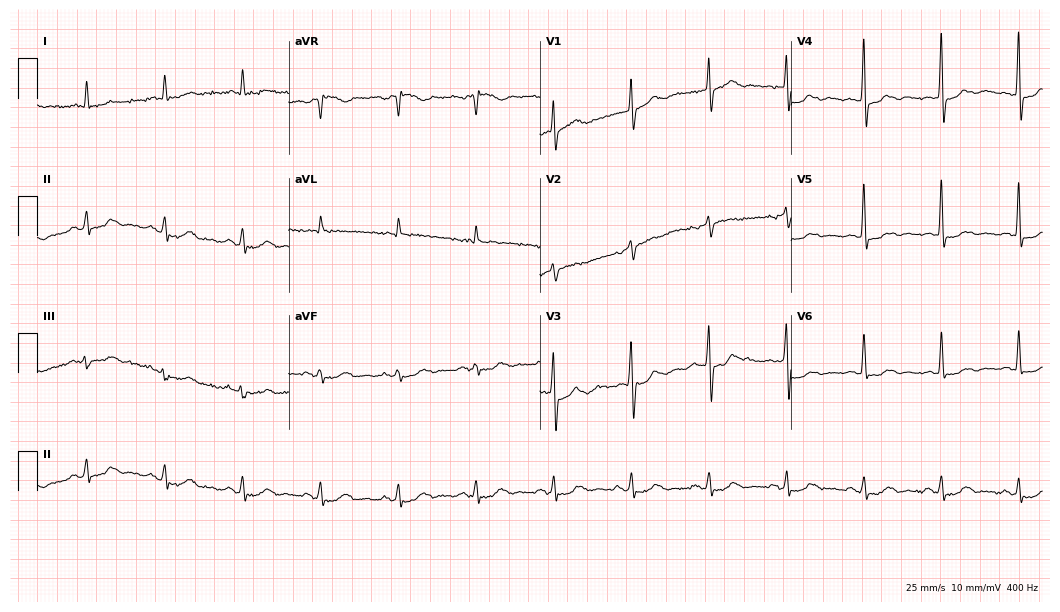
12-lead ECG (10.2-second recording at 400 Hz) from a male, 81 years old. Screened for six findings — first-degree AV block, right bundle branch block, left bundle branch block, sinus bradycardia, atrial fibrillation, sinus tachycardia — none is recorded.